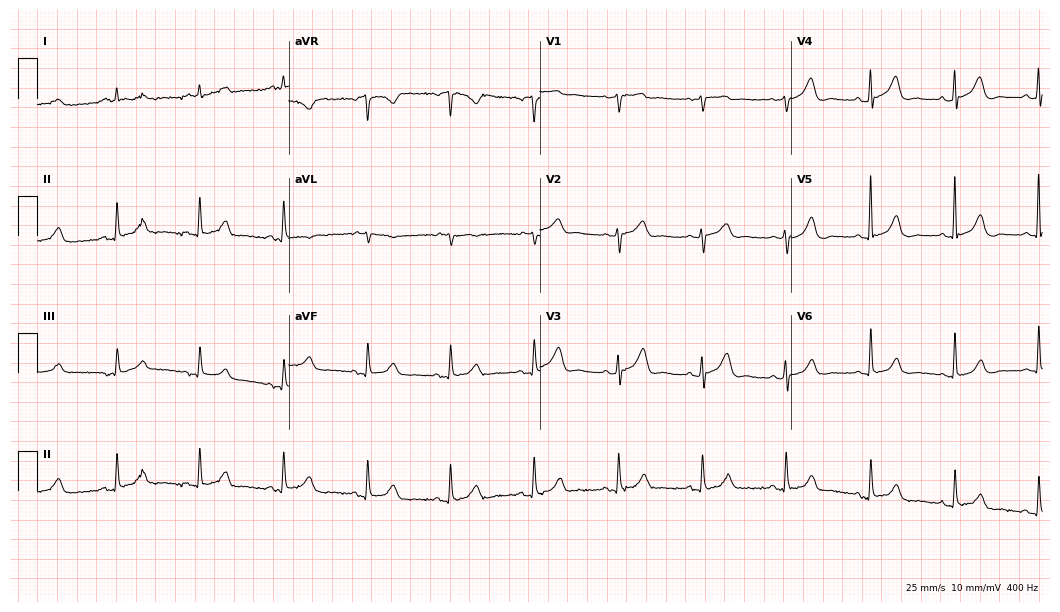
Electrocardiogram, an 82-year-old female patient. Of the six screened findings (first-degree AV block, right bundle branch block, left bundle branch block, sinus bradycardia, atrial fibrillation, sinus tachycardia), none is recorded. Findings outside these six are not listed.